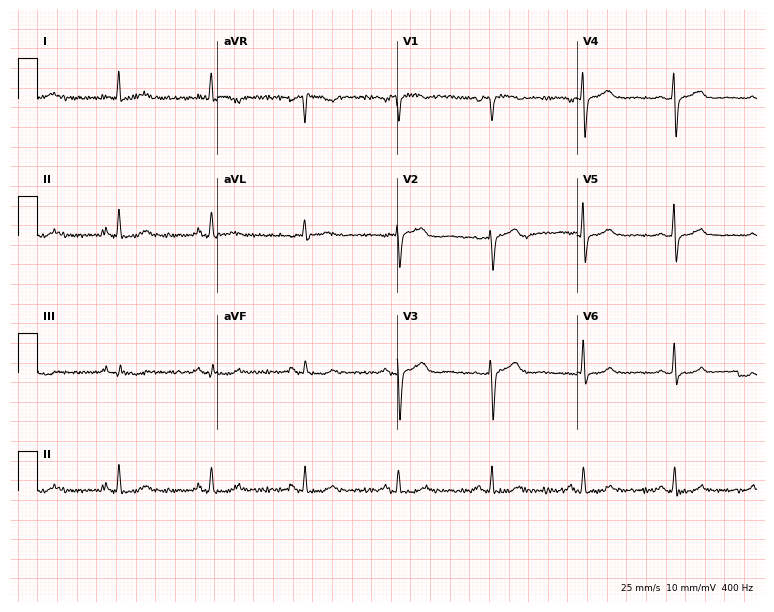
Electrocardiogram, a 74-year-old female. Of the six screened findings (first-degree AV block, right bundle branch block, left bundle branch block, sinus bradycardia, atrial fibrillation, sinus tachycardia), none is recorded. Only these six findings were labelled.